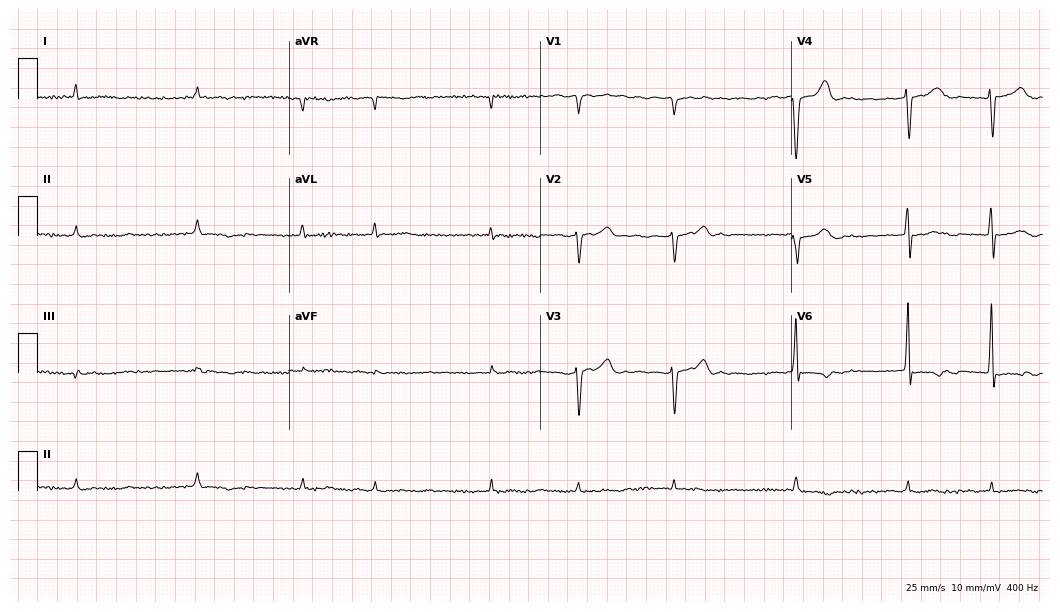
12-lead ECG from a male, 77 years old (10.2-second recording at 400 Hz). Shows atrial fibrillation.